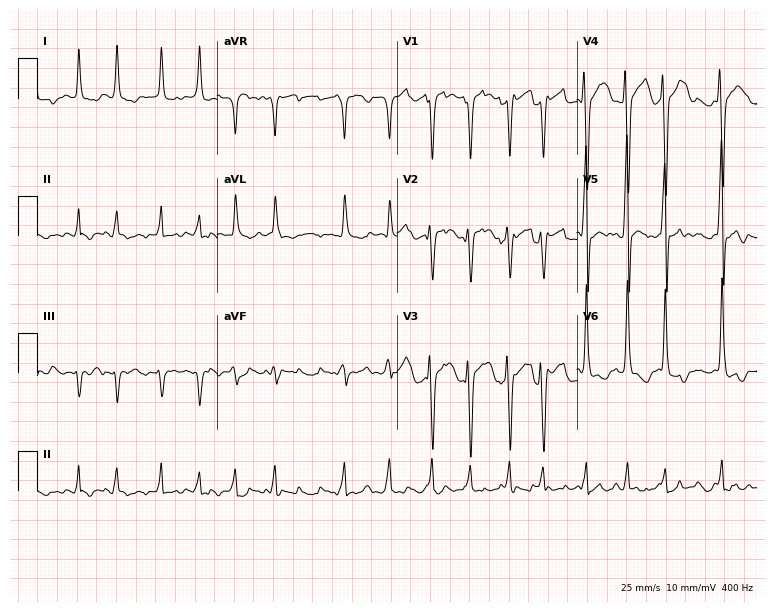
12-lead ECG from a 57-year-old woman. Findings include atrial fibrillation (AF).